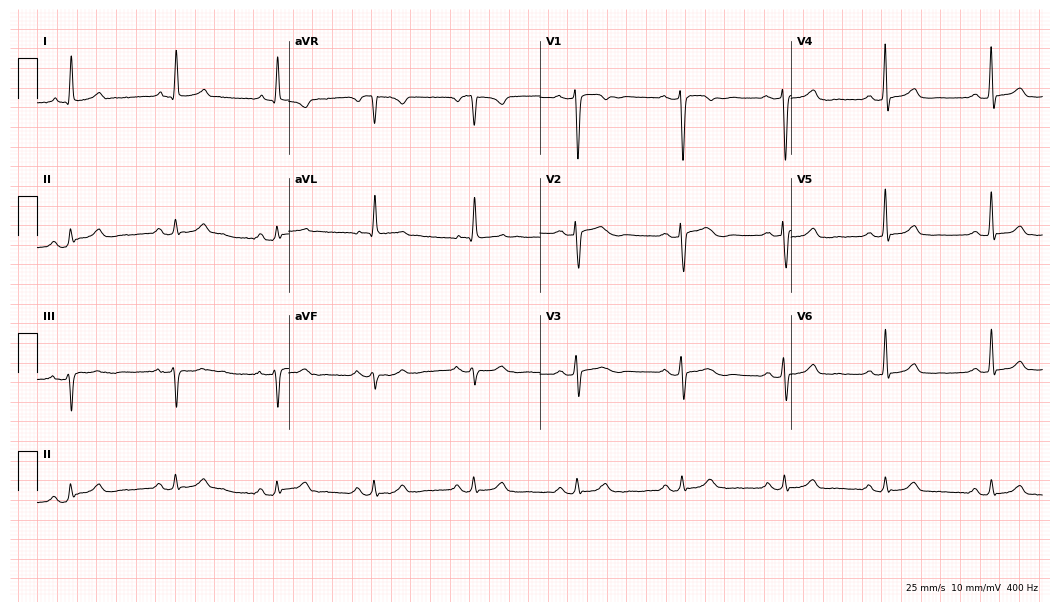
12-lead ECG (10.2-second recording at 400 Hz) from a 72-year-old female. Labelled as a normal ECG.